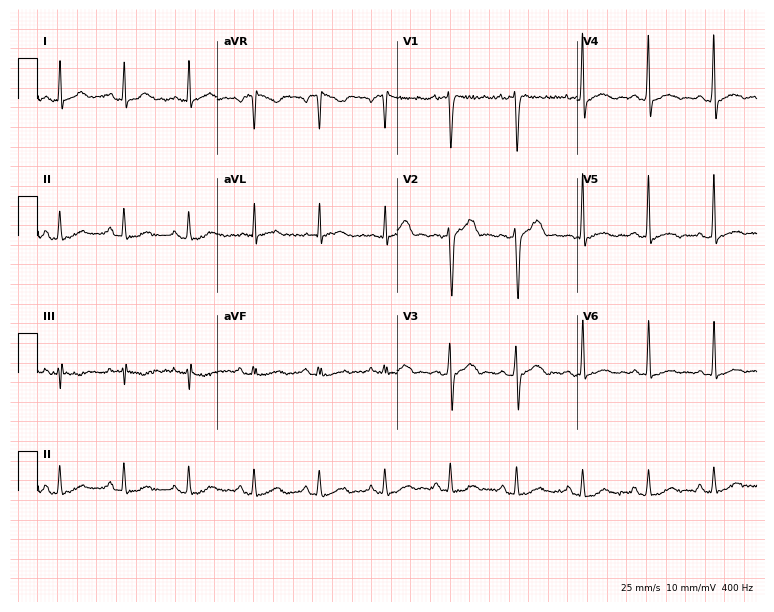
Standard 12-lead ECG recorded from a 51-year-old male (7.3-second recording at 400 Hz). Read as a normal ECG.